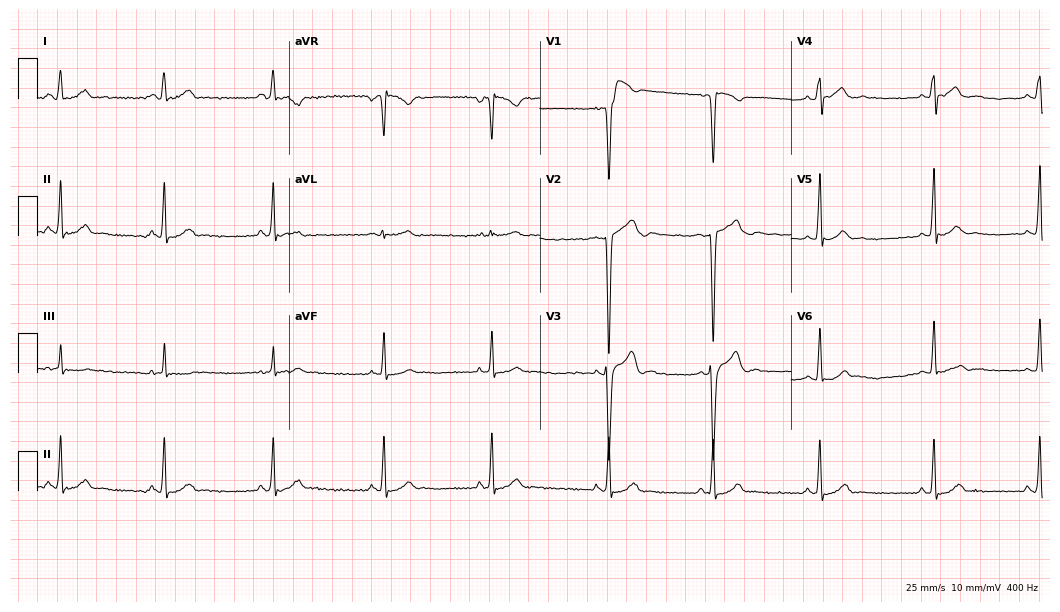
Resting 12-lead electrocardiogram (10.2-second recording at 400 Hz). Patient: a male, 18 years old. Read as a normal ECG.